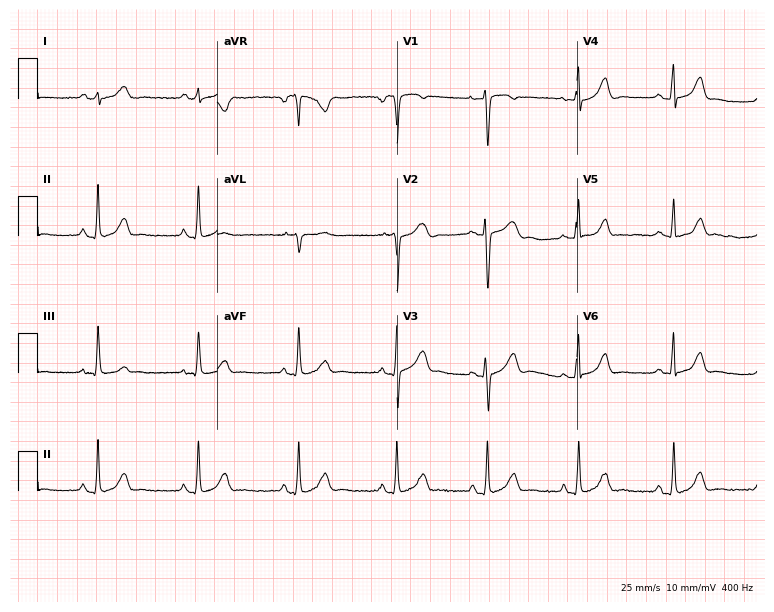
Resting 12-lead electrocardiogram (7.3-second recording at 400 Hz). Patient: a female, 27 years old. Read as a normal ECG.